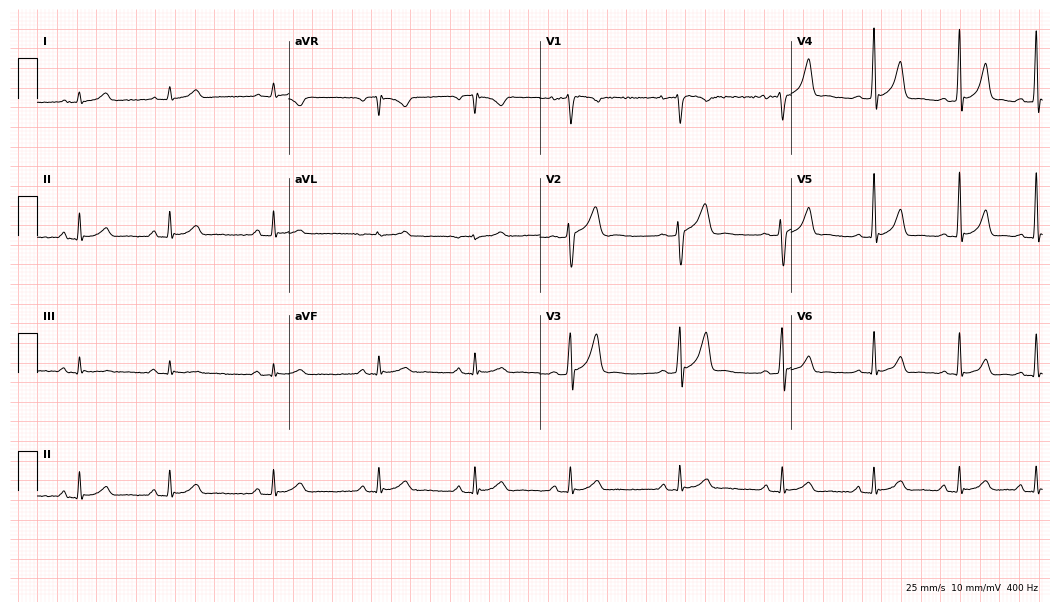
12-lead ECG (10.2-second recording at 400 Hz) from a male, 27 years old. Labelled as a normal ECG.